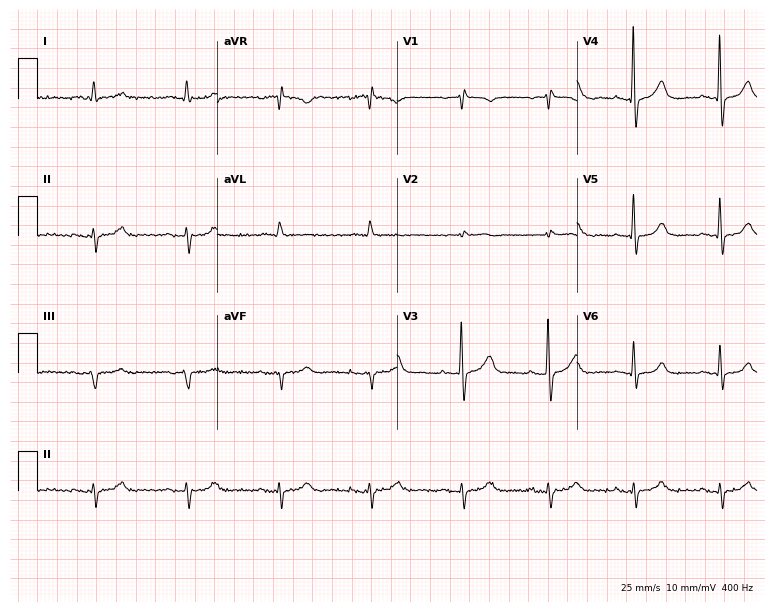
12-lead ECG (7.3-second recording at 400 Hz) from a man, 79 years old. Screened for six findings — first-degree AV block, right bundle branch block, left bundle branch block, sinus bradycardia, atrial fibrillation, sinus tachycardia — none is recorded.